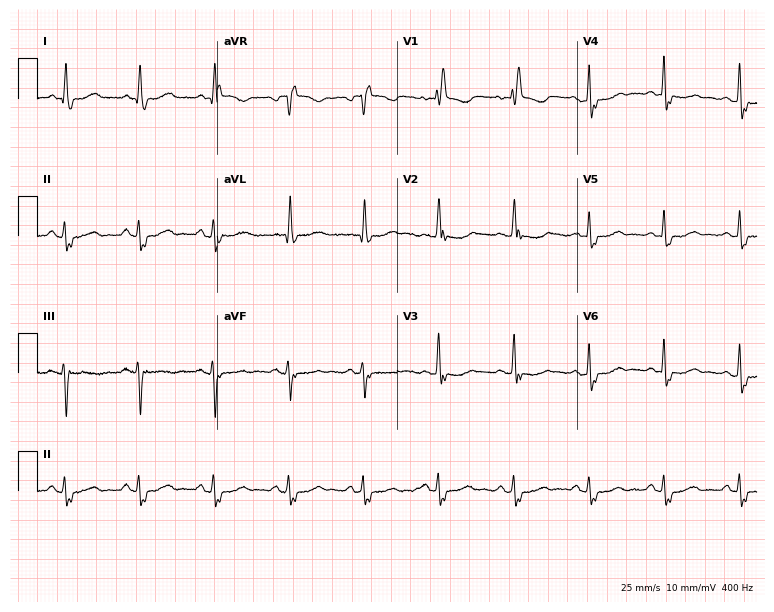
ECG — a female patient, 68 years old. Screened for six findings — first-degree AV block, right bundle branch block, left bundle branch block, sinus bradycardia, atrial fibrillation, sinus tachycardia — none is recorded. Findings outside these six are not listed.